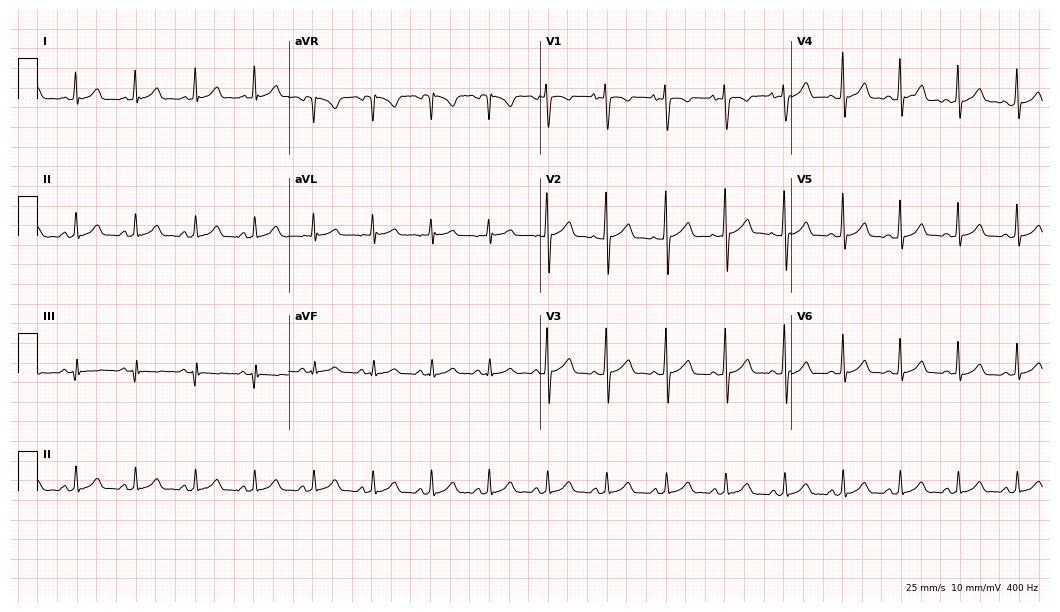
12-lead ECG (10.2-second recording at 400 Hz) from a 27-year-old female. Findings include sinus tachycardia (a sinus rate of 100 beats per minute or more).